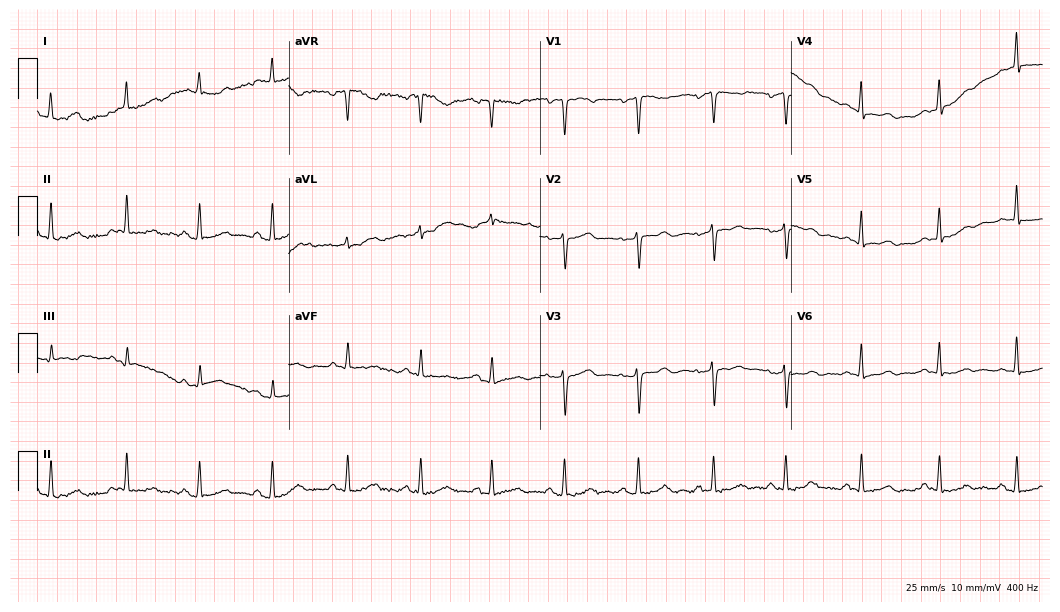
Standard 12-lead ECG recorded from a 47-year-old female (10.2-second recording at 400 Hz). Read as a normal ECG.